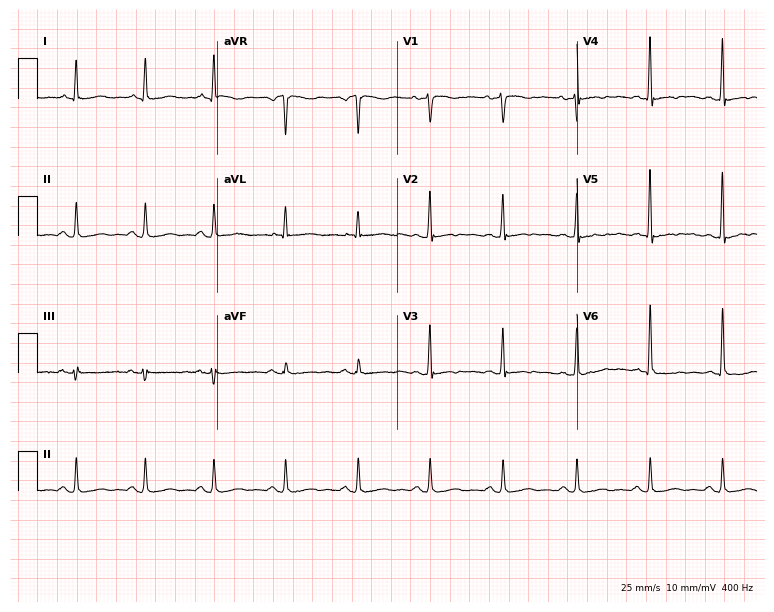
Standard 12-lead ECG recorded from a 40-year-old man. None of these six findings is recorded: first-degree AV block, right bundle branch block (RBBB), left bundle branch block (LBBB), sinus bradycardia, atrial fibrillation (AF), sinus tachycardia. Other findings, if any, are not listed.